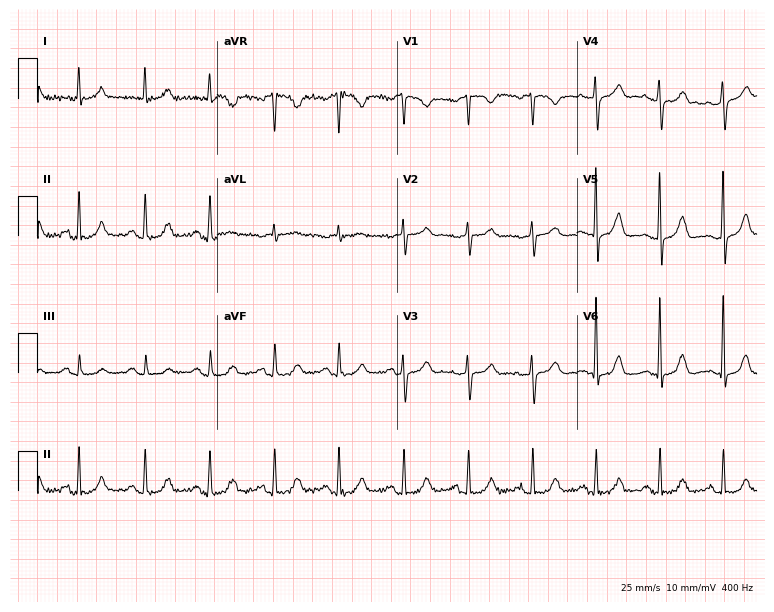
12-lead ECG from a 78-year-old female patient. Screened for six findings — first-degree AV block, right bundle branch block, left bundle branch block, sinus bradycardia, atrial fibrillation, sinus tachycardia — none is recorded.